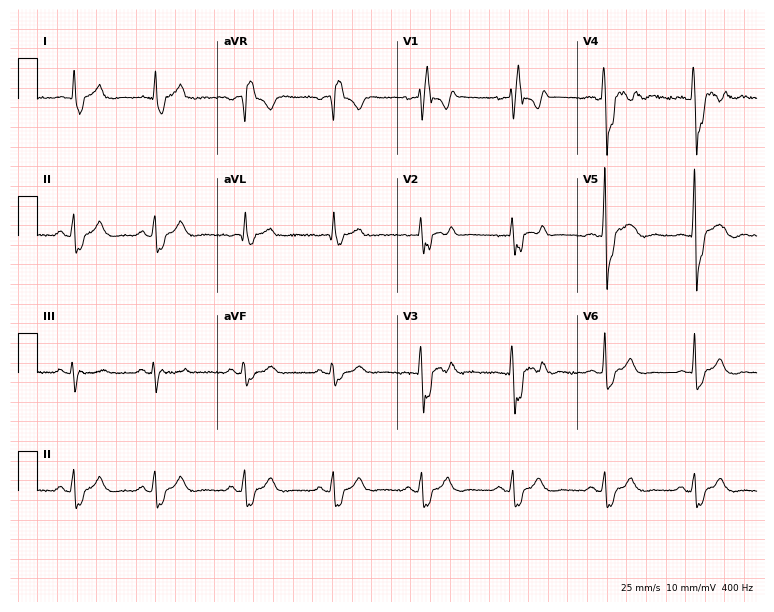
ECG (7.3-second recording at 400 Hz) — a 49-year-old male patient. Findings include right bundle branch block.